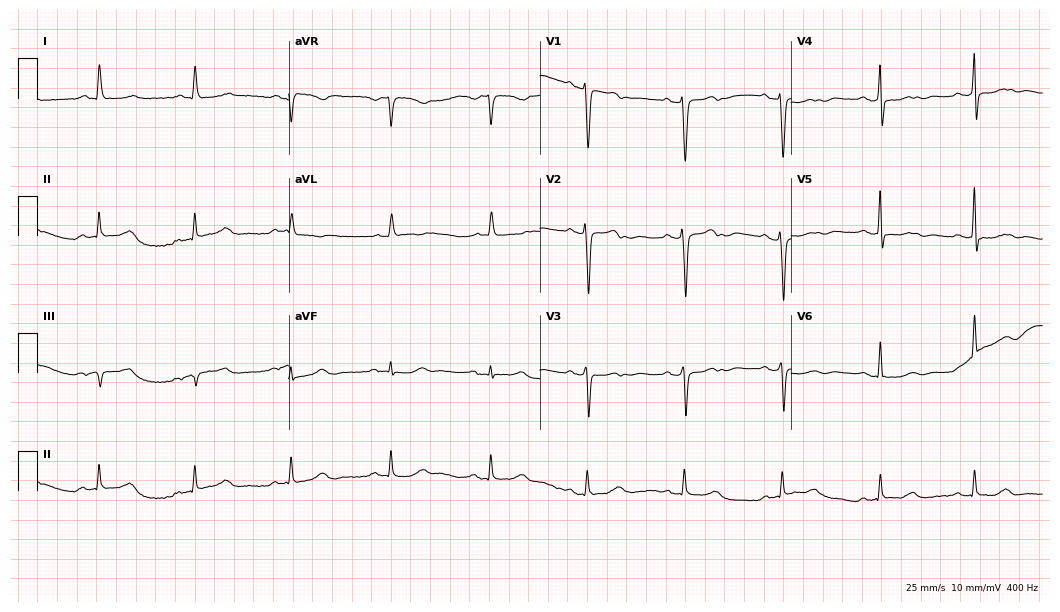
ECG (10.2-second recording at 400 Hz) — a 70-year-old woman. Labelled as a normal ECG.